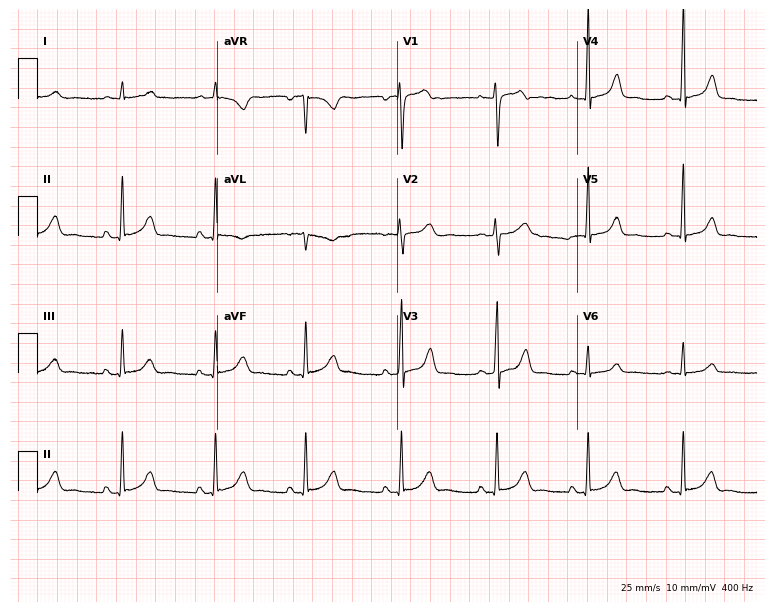
Resting 12-lead electrocardiogram. Patient: a man, 43 years old. None of these six findings is recorded: first-degree AV block, right bundle branch block, left bundle branch block, sinus bradycardia, atrial fibrillation, sinus tachycardia.